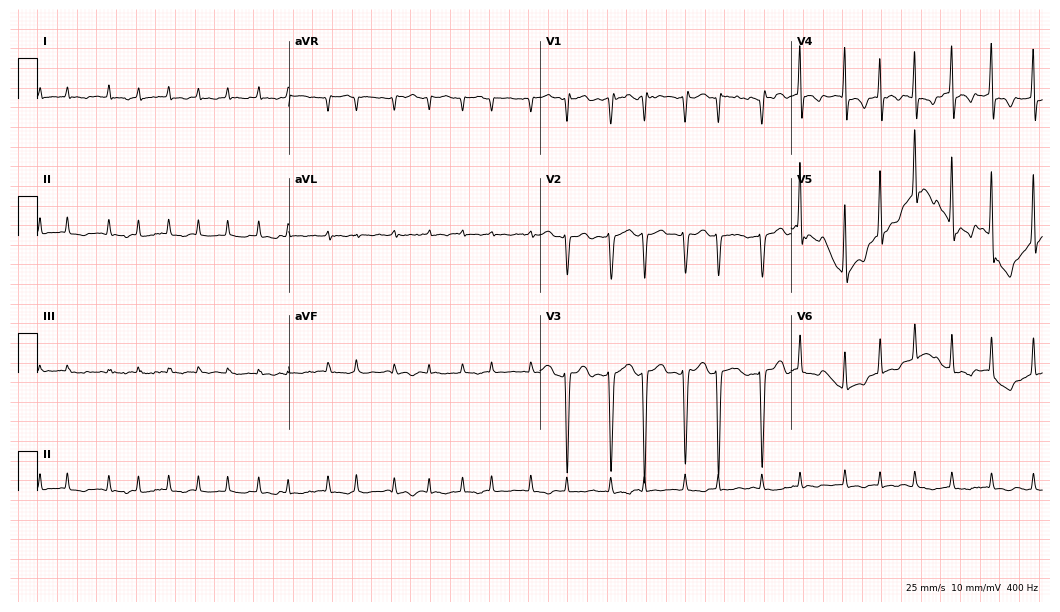
Standard 12-lead ECG recorded from an 81-year-old female patient. The tracing shows atrial fibrillation.